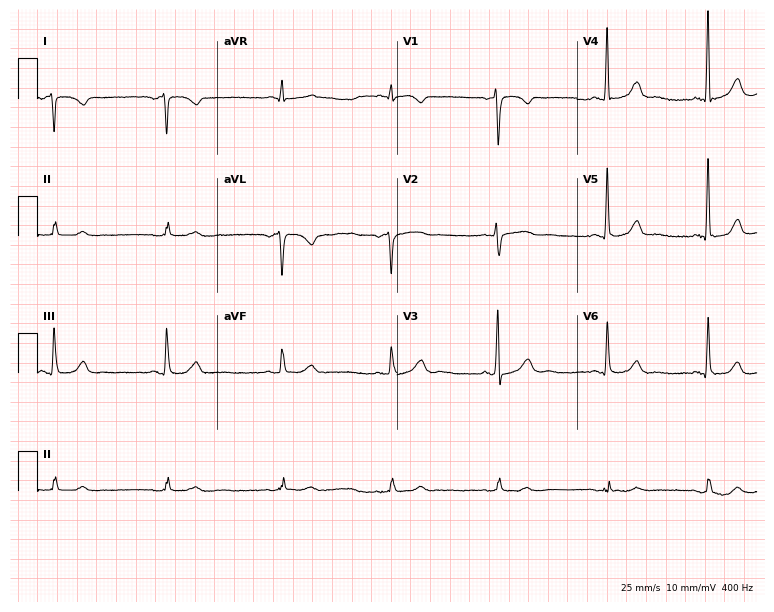
Resting 12-lead electrocardiogram (7.3-second recording at 400 Hz). Patient: a 61-year-old female. None of these six findings is recorded: first-degree AV block, right bundle branch block, left bundle branch block, sinus bradycardia, atrial fibrillation, sinus tachycardia. Other findings, if any, are not listed.